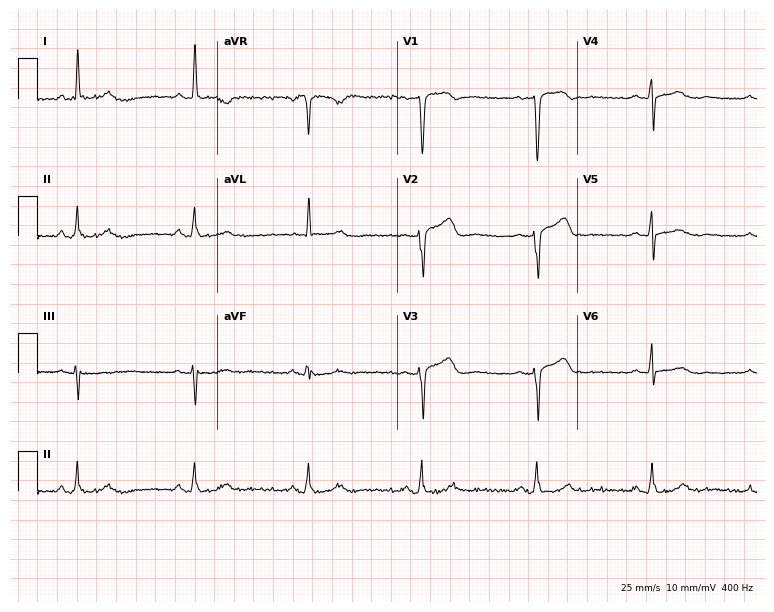
Electrocardiogram (7.3-second recording at 400 Hz), a female, 49 years old. Overall reading on record: normal ECG.